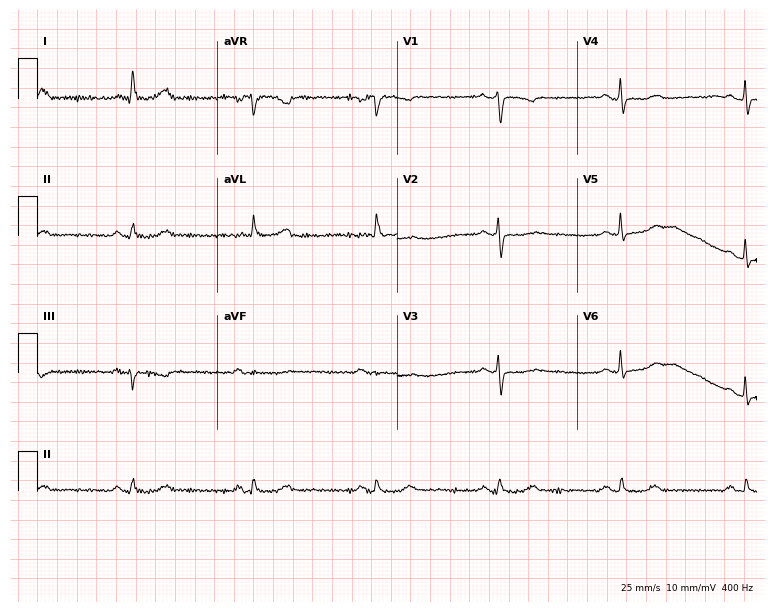
Resting 12-lead electrocardiogram (7.3-second recording at 400 Hz). Patient: a 64-year-old female. The tracing shows sinus bradycardia (a sinus rate of 50 beats per minute or less).